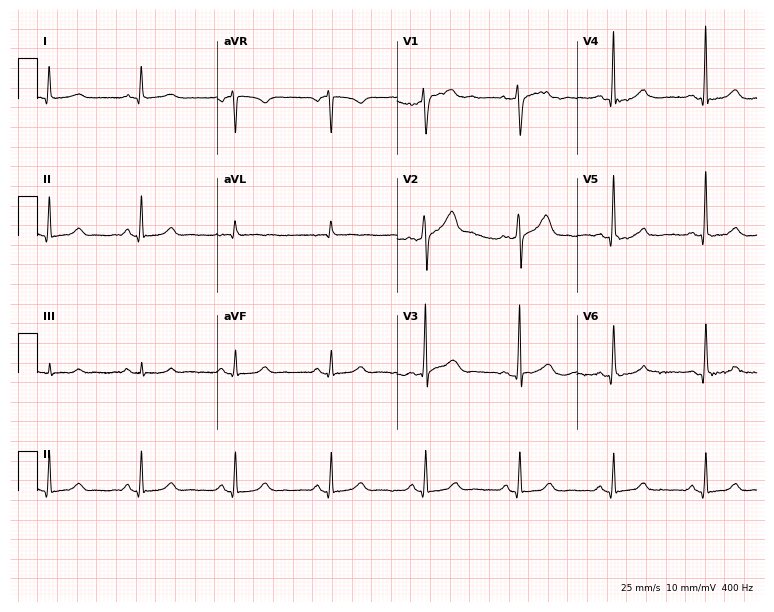
Electrocardiogram, a male, 54 years old. Of the six screened findings (first-degree AV block, right bundle branch block, left bundle branch block, sinus bradycardia, atrial fibrillation, sinus tachycardia), none is recorded. Other findings, if any, are not listed.